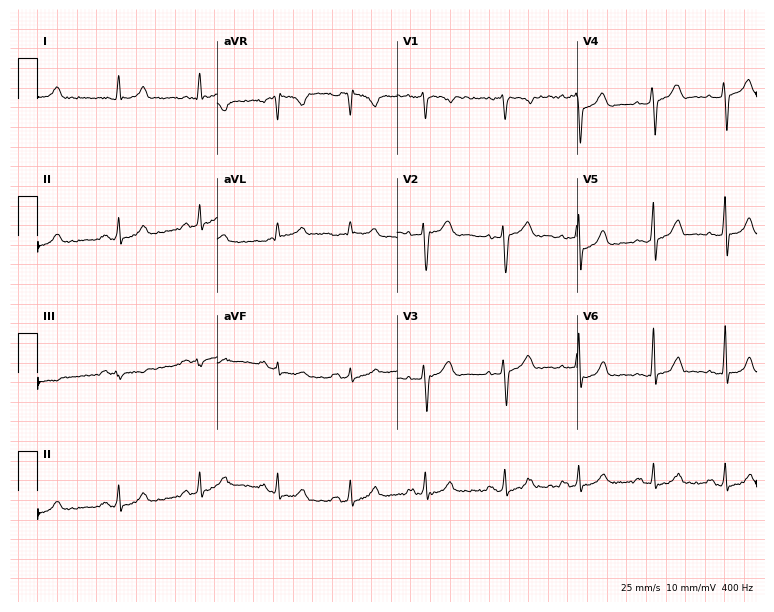
ECG — a male patient, 43 years old. Screened for six findings — first-degree AV block, right bundle branch block, left bundle branch block, sinus bradycardia, atrial fibrillation, sinus tachycardia — none is recorded. Findings outside these six are not listed.